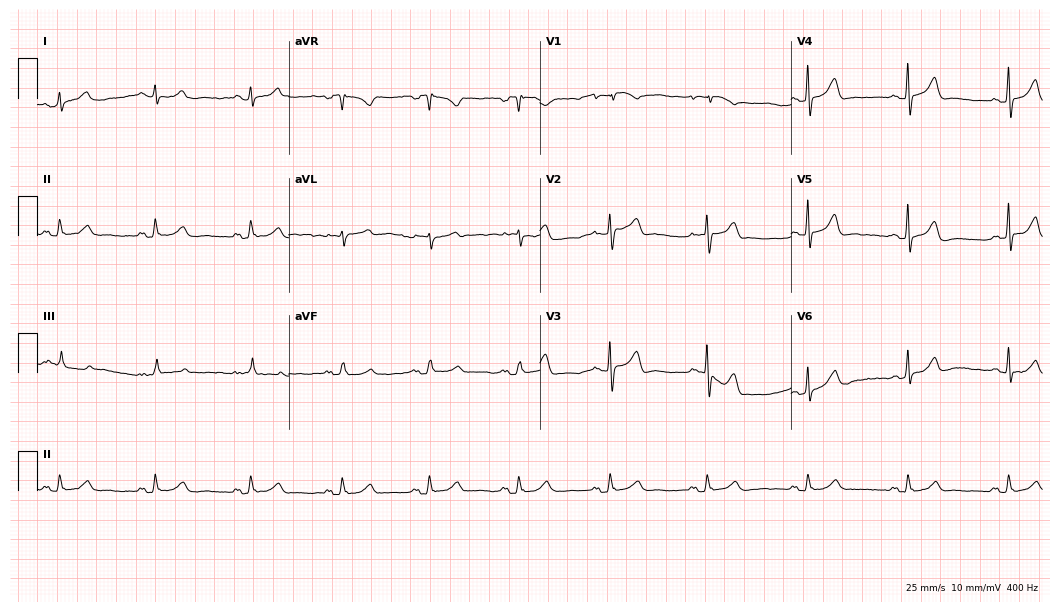
ECG (10.2-second recording at 400 Hz) — a 48-year-old female. Screened for six findings — first-degree AV block, right bundle branch block (RBBB), left bundle branch block (LBBB), sinus bradycardia, atrial fibrillation (AF), sinus tachycardia — none is recorded. Only these six findings were labelled.